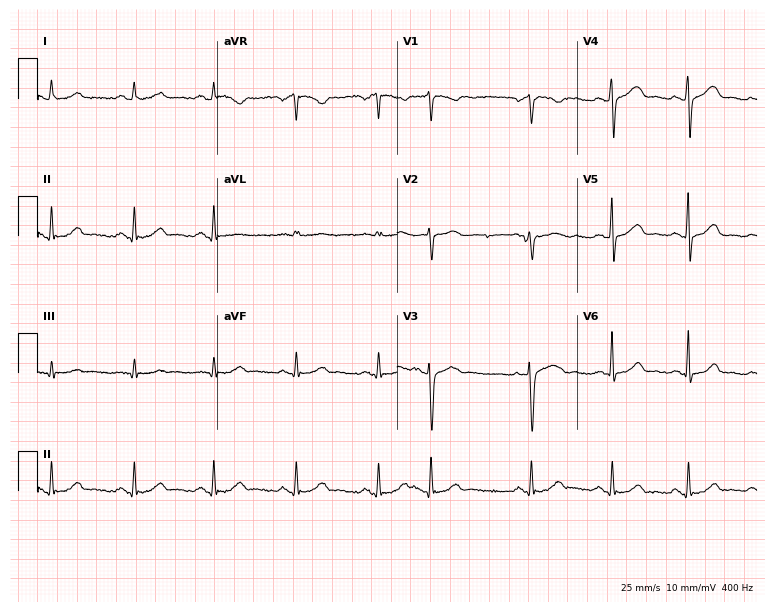
12-lead ECG from a 37-year-old woman (7.3-second recording at 400 Hz). No first-degree AV block, right bundle branch block, left bundle branch block, sinus bradycardia, atrial fibrillation or sinus tachycardia recorded for this tracing.